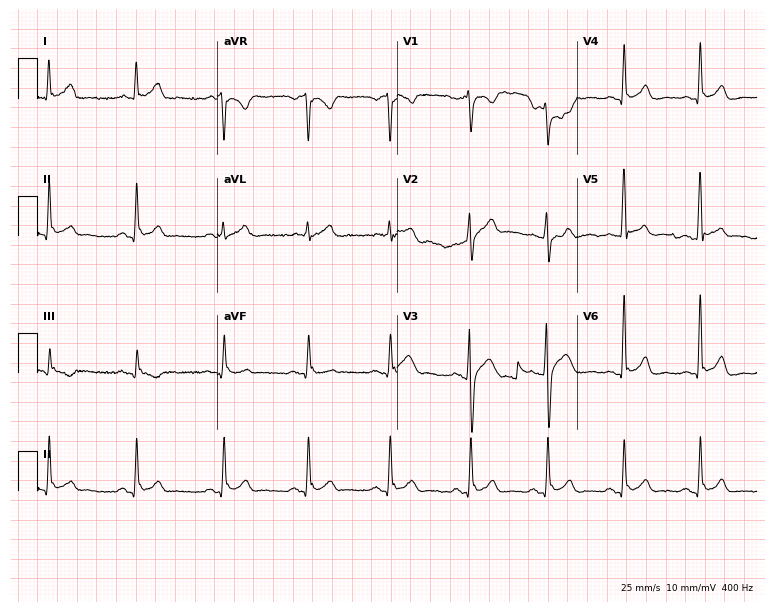
Standard 12-lead ECG recorded from a 32-year-old male (7.3-second recording at 400 Hz). Read as a normal ECG.